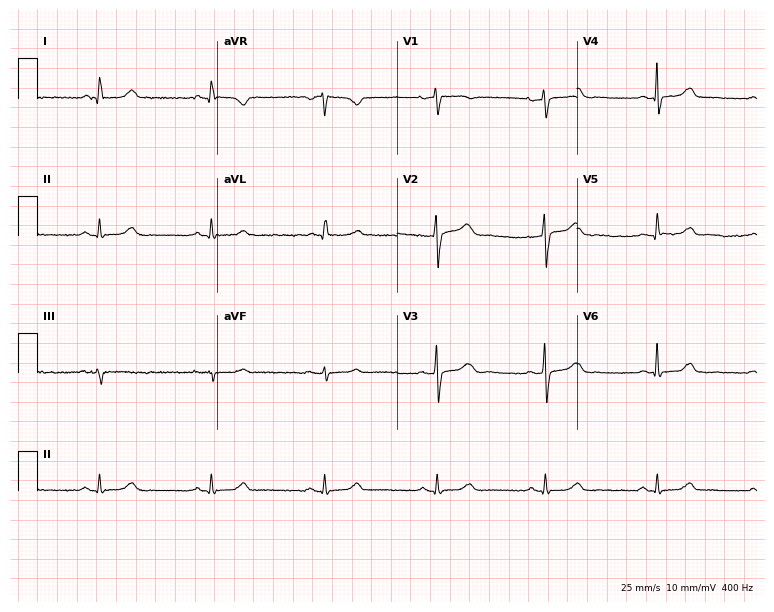
Electrocardiogram (7.3-second recording at 400 Hz), a 52-year-old woman. Of the six screened findings (first-degree AV block, right bundle branch block (RBBB), left bundle branch block (LBBB), sinus bradycardia, atrial fibrillation (AF), sinus tachycardia), none is recorded.